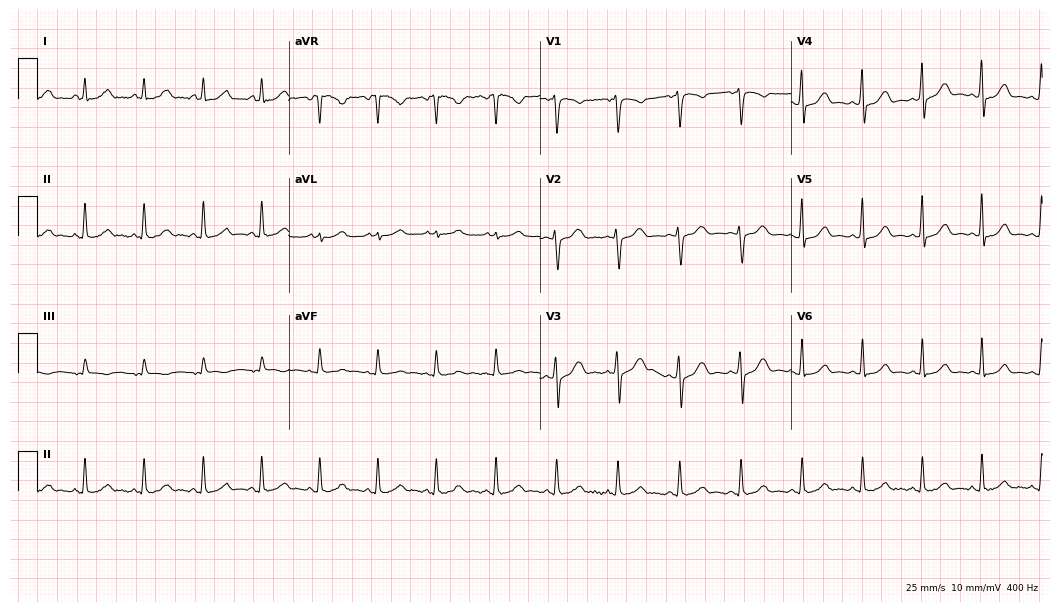
Electrocardiogram, a 29-year-old female patient. Of the six screened findings (first-degree AV block, right bundle branch block, left bundle branch block, sinus bradycardia, atrial fibrillation, sinus tachycardia), none is recorded. Only these six findings were labelled.